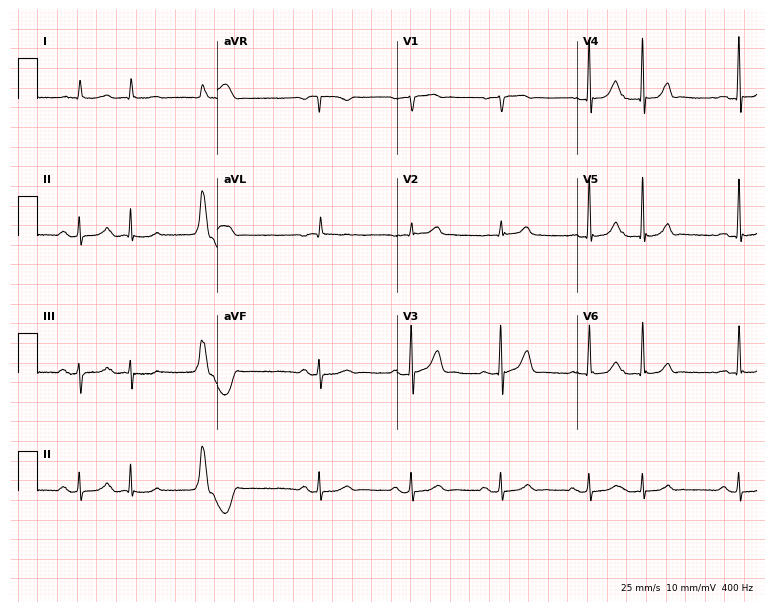
12-lead ECG from a 65-year-old man. No first-degree AV block, right bundle branch block, left bundle branch block, sinus bradycardia, atrial fibrillation or sinus tachycardia recorded for this tracing. Findings outside these six are not listed.